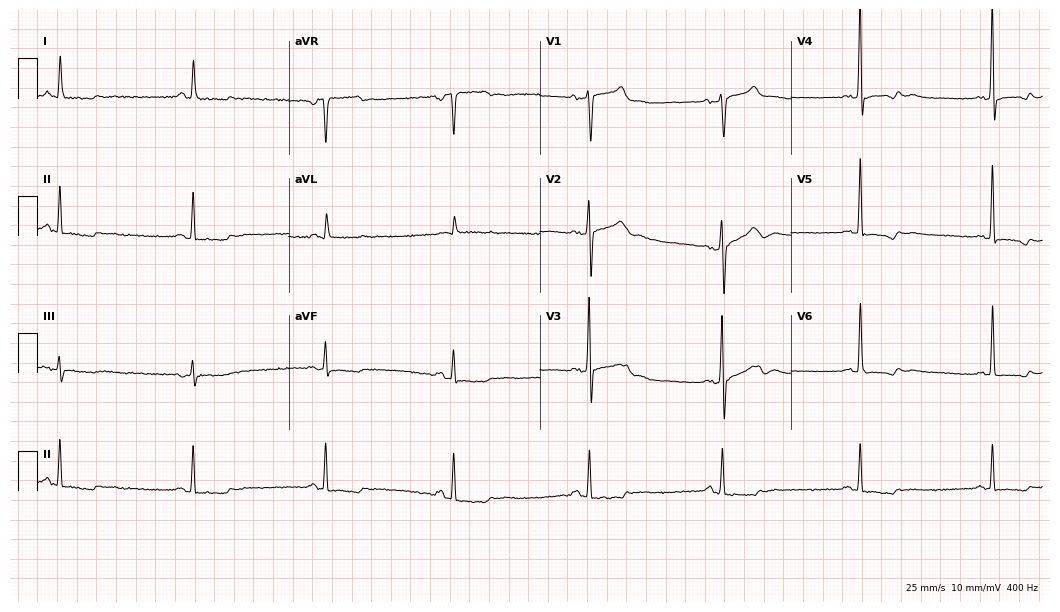
Resting 12-lead electrocardiogram (10.2-second recording at 400 Hz). Patient: a woman, 52 years old. The tracing shows sinus bradycardia (a sinus rate of 50 beats per minute or less).